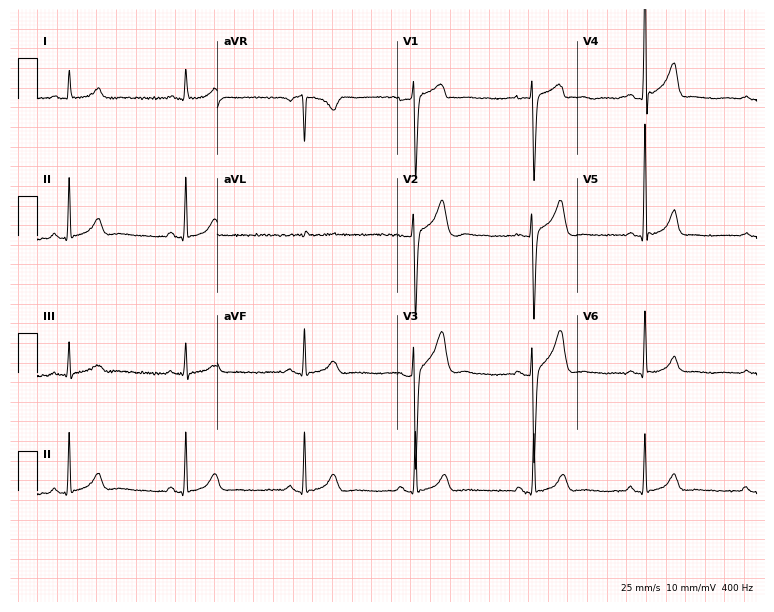
12-lead ECG (7.3-second recording at 400 Hz) from a man, 33 years old. Screened for six findings — first-degree AV block, right bundle branch block, left bundle branch block, sinus bradycardia, atrial fibrillation, sinus tachycardia — none is recorded. Only these six findings were labelled.